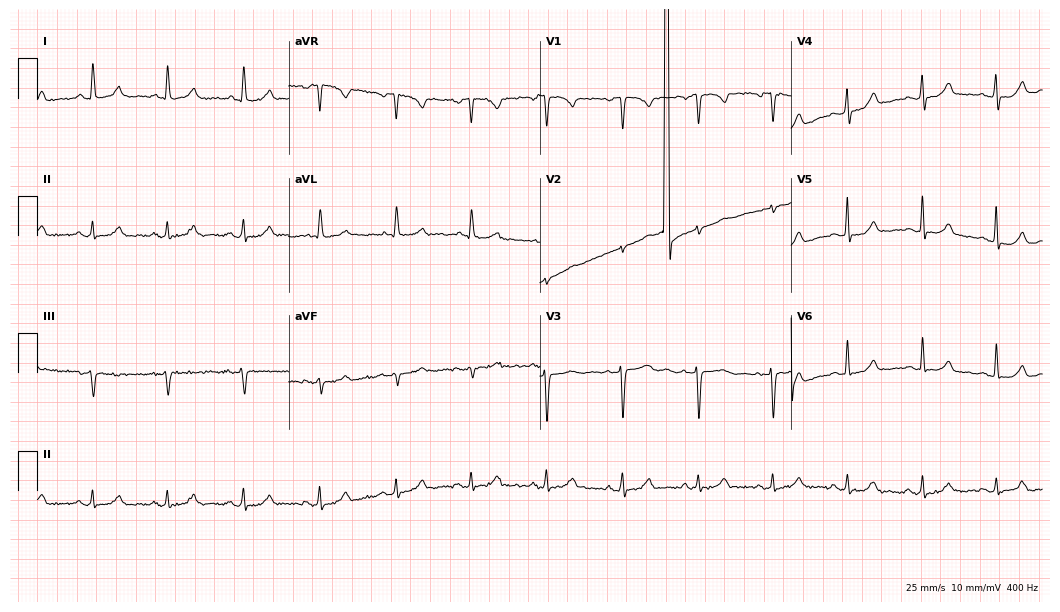
12-lead ECG from a 63-year-old woman. Screened for six findings — first-degree AV block, right bundle branch block, left bundle branch block, sinus bradycardia, atrial fibrillation, sinus tachycardia — none is recorded. Only these six findings were labelled.